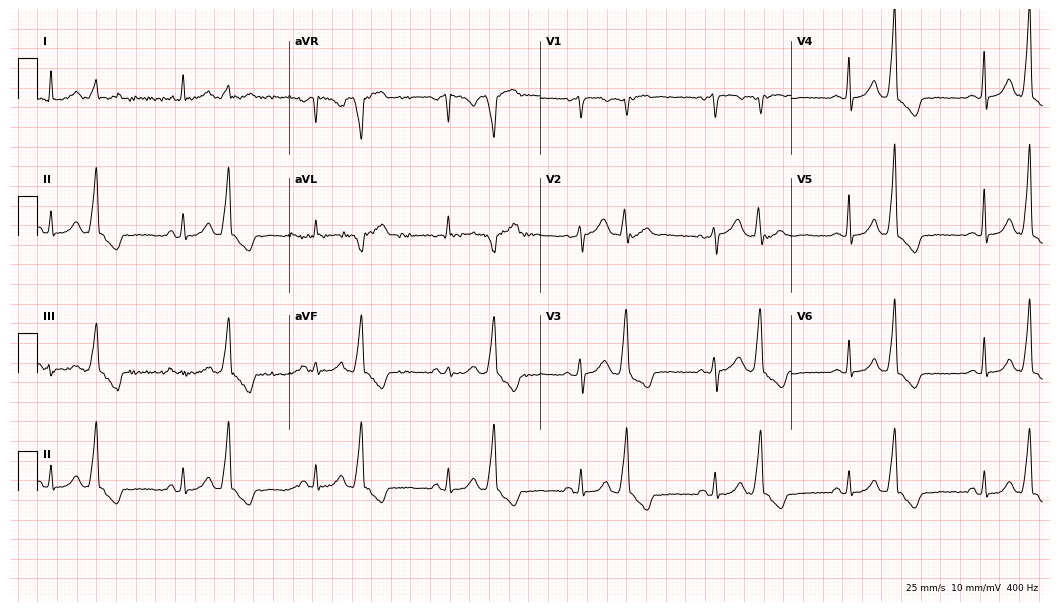
Resting 12-lead electrocardiogram (10.2-second recording at 400 Hz). Patient: a 53-year-old woman. None of these six findings is recorded: first-degree AV block, right bundle branch block, left bundle branch block, sinus bradycardia, atrial fibrillation, sinus tachycardia.